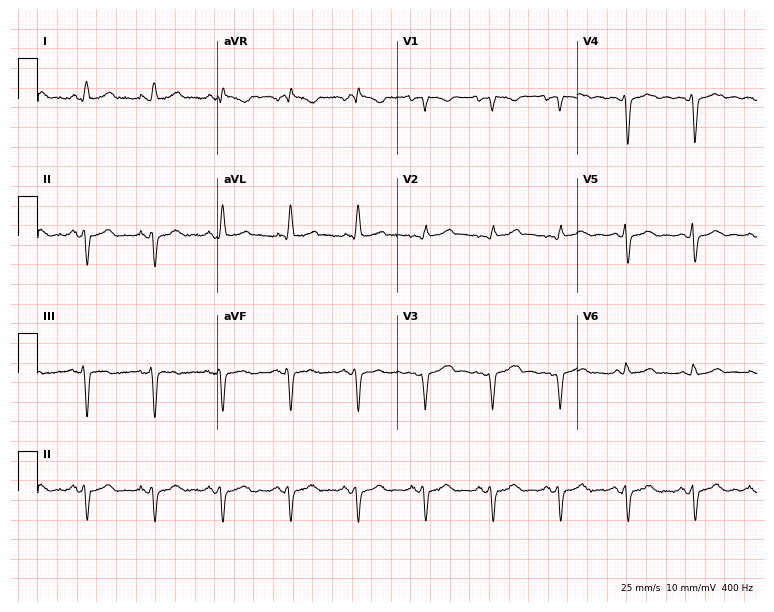
Standard 12-lead ECG recorded from a female patient, 54 years old. None of these six findings is recorded: first-degree AV block, right bundle branch block (RBBB), left bundle branch block (LBBB), sinus bradycardia, atrial fibrillation (AF), sinus tachycardia. Only these six findings were labelled.